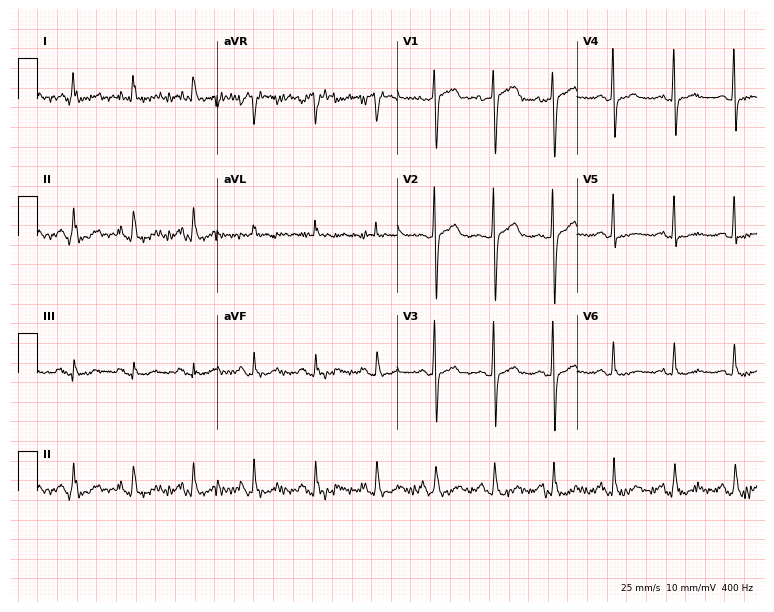
Resting 12-lead electrocardiogram. Patient: a 78-year-old man. None of these six findings is recorded: first-degree AV block, right bundle branch block (RBBB), left bundle branch block (LBBB), sinus bradycardia, atrial fibrillation (AF), sinus tachycardia.